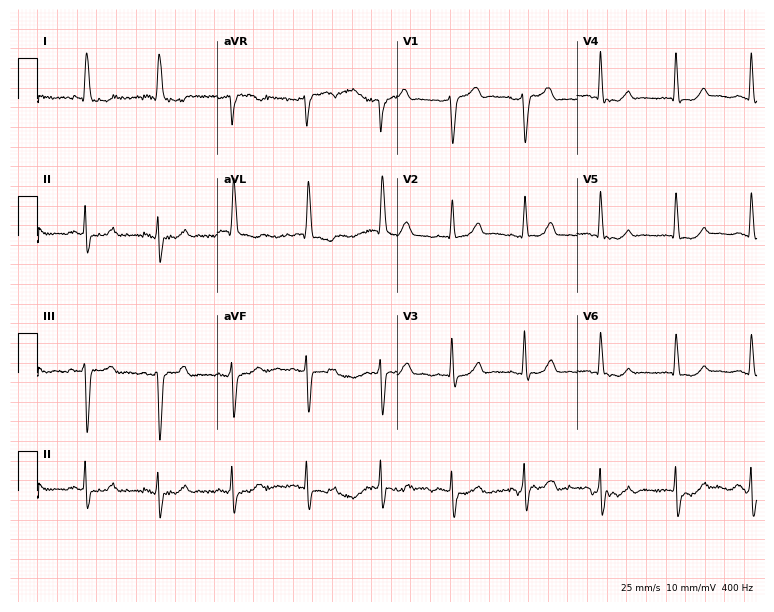
Resting 12-lead electrocardiogram (7.3-second recording at 400 Hz). Patient: an 81-year-old female. None of these six findings is recorded: first-degree AV block, right bundle branch block, left bundle branch block, sinus bradycardia, atrial fibrillation, sinus tachycardia. Other findings, if any, are not listed.